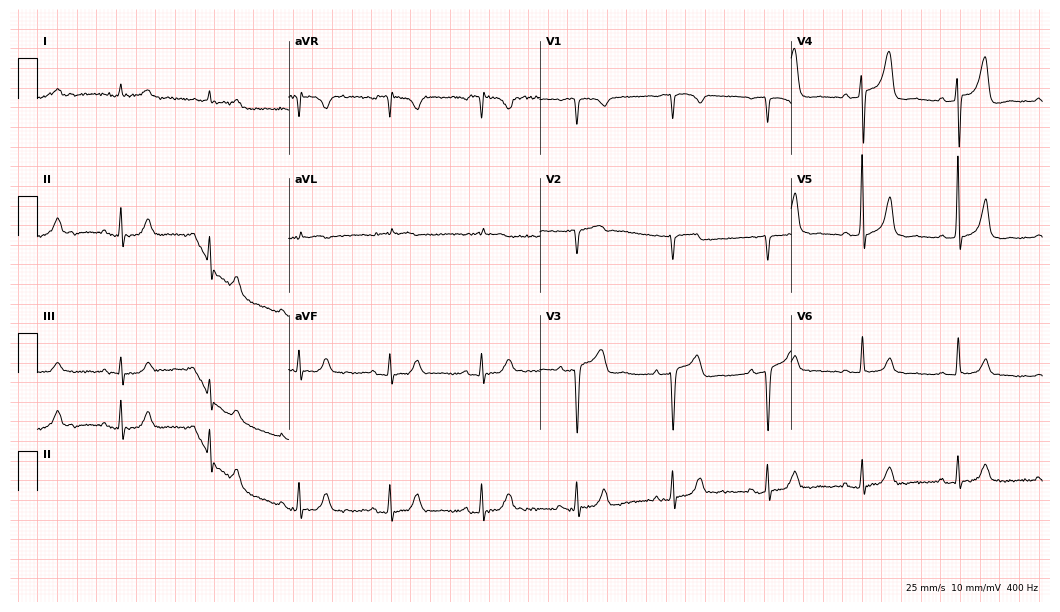
12-lead ECG (10.2-second recording at 400 Hz) from an 85-year-old female. Labelled as a normal ECG.